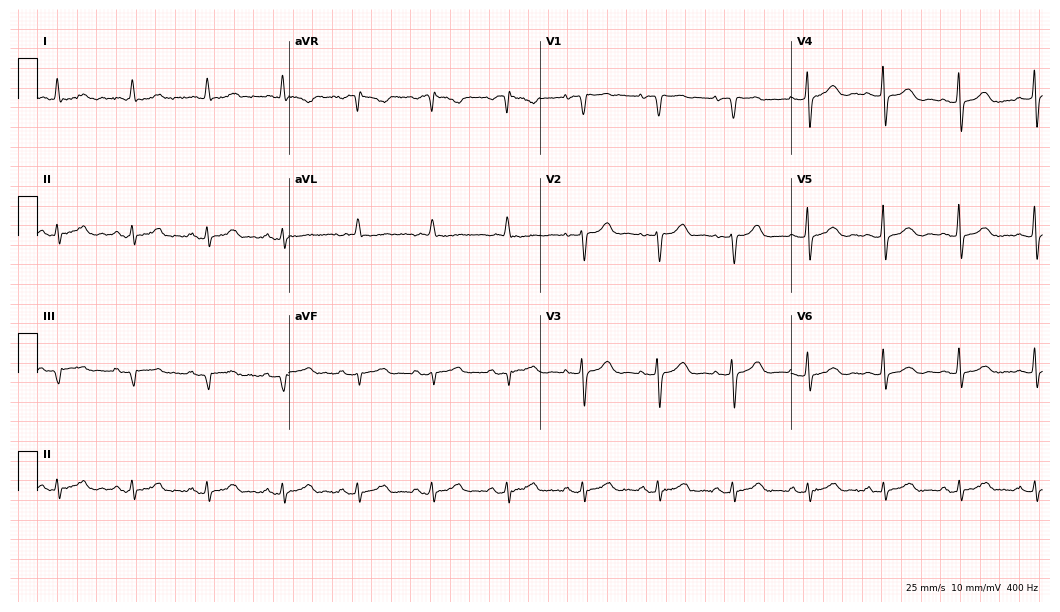
Electrocardiogram (10.2-second recording at 400 Hz), a female patient, 79 years old. Overall reading on record: normal ECG.